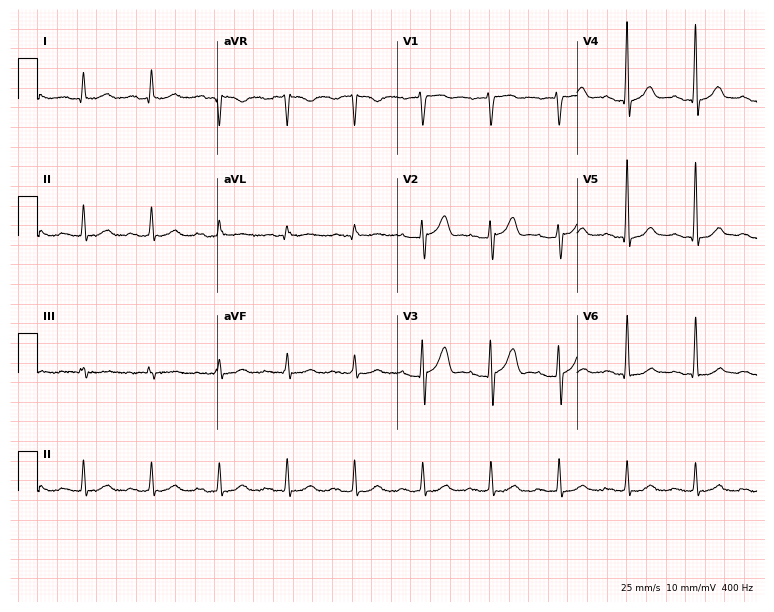
Electrocardiogram, a male patient, 74 years old. Interpretation includes first-degree AV block.